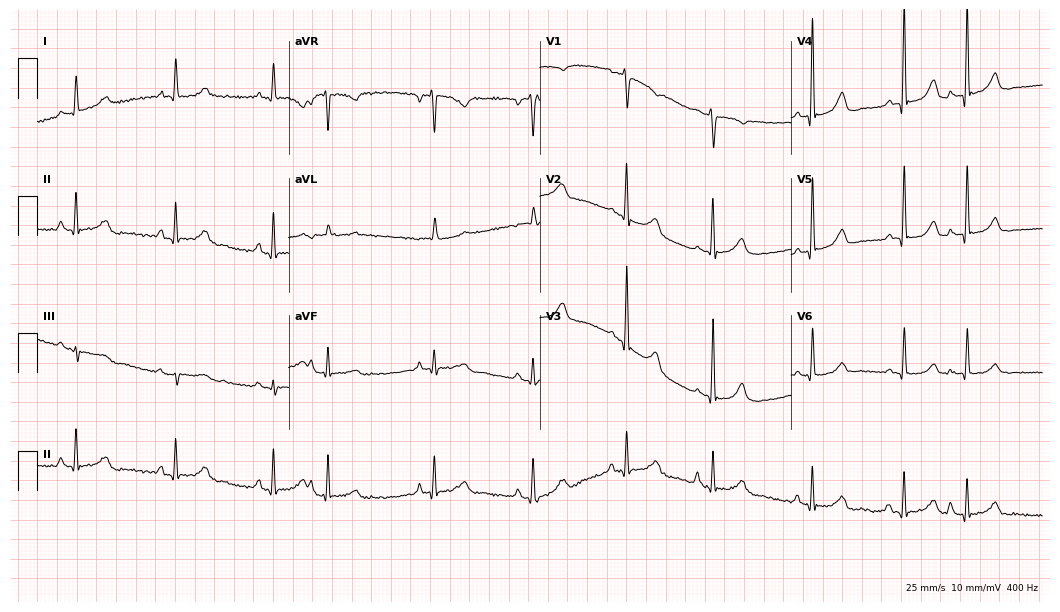
Electrocardiogram (10.2-second recording at 400 Hz), a 69-year-old female. Overall reading on record: normal ECG.